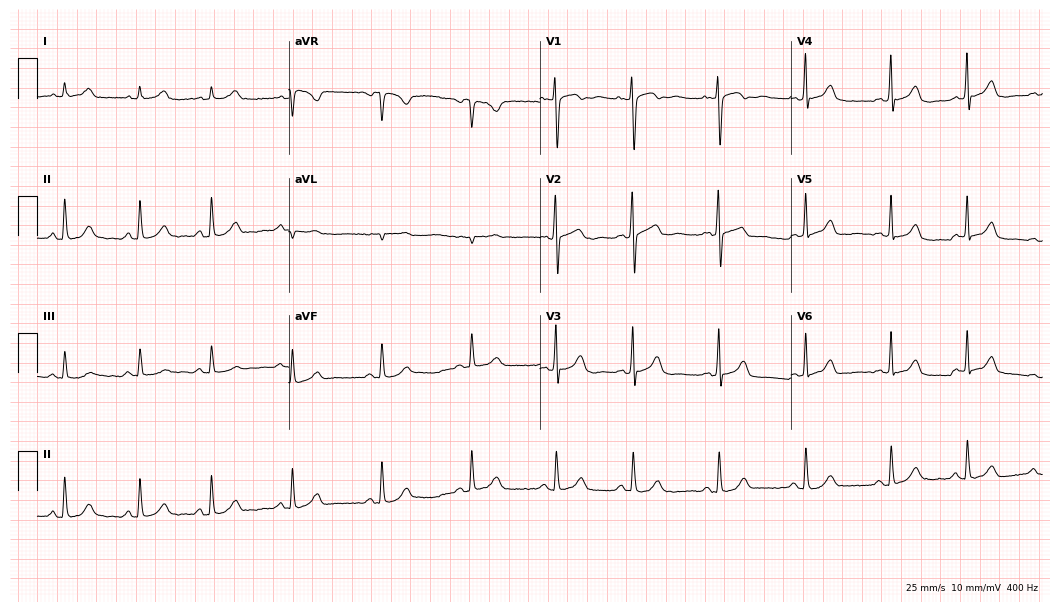
Standard 12-lead ECG recorded from a 28-year-old female patient. Read as a normal ECG.